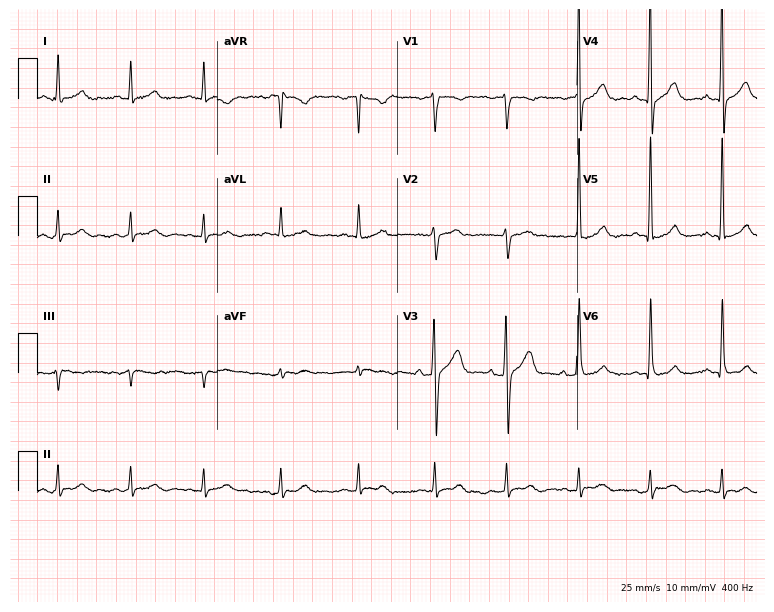
Resting 12-lead electrocardiogram (7.3-second recording at 400 Hz). Patient: a male, 55 years old. None of these six findings is recorded: first-degree AV block, right bundle branch block, left bundle branch block, sinus bradycardia, atrial fibrillation, sinus tachycardia.